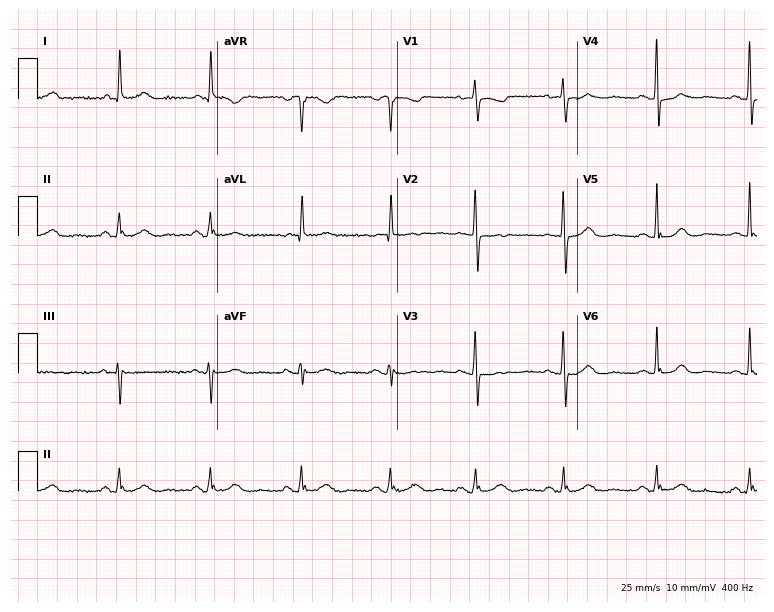
12-lead ECG from a female patient, 85 years old. Screened for six findings — first-degree AV block, right bundle branch block (RBBB), left bundle branch block (LBBB), sinus bradycardia, atrial fibrillation (AF), sinus tachycardia — none is recorded. Findings outside these six are not listed.